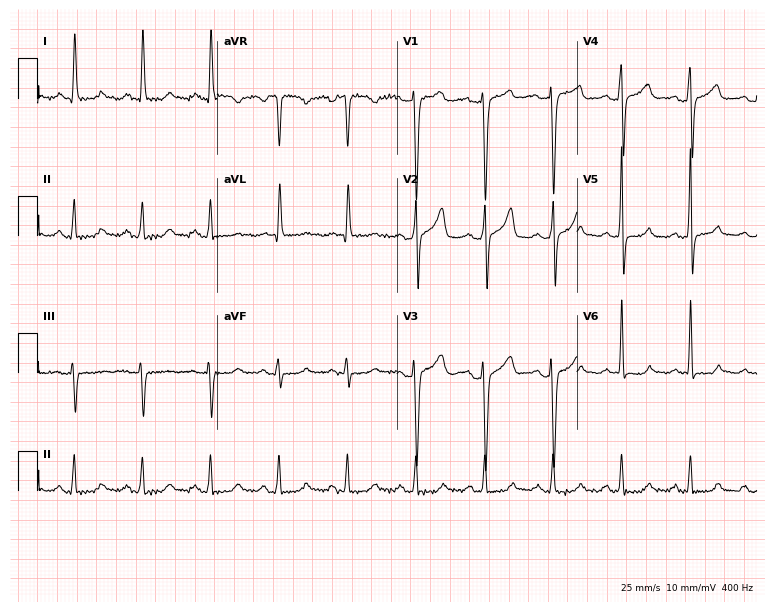
Standard 12-lead ECG recorded from a 51-year-old male (7.3-second recording at 400 Hz). None of these six findings is recorded: first-degree AV block, right bundle branch block, left bundle branch block, sinus bradycardia, atrial fibrillation, sinus tachycardia. Findings outside these six are not listed.